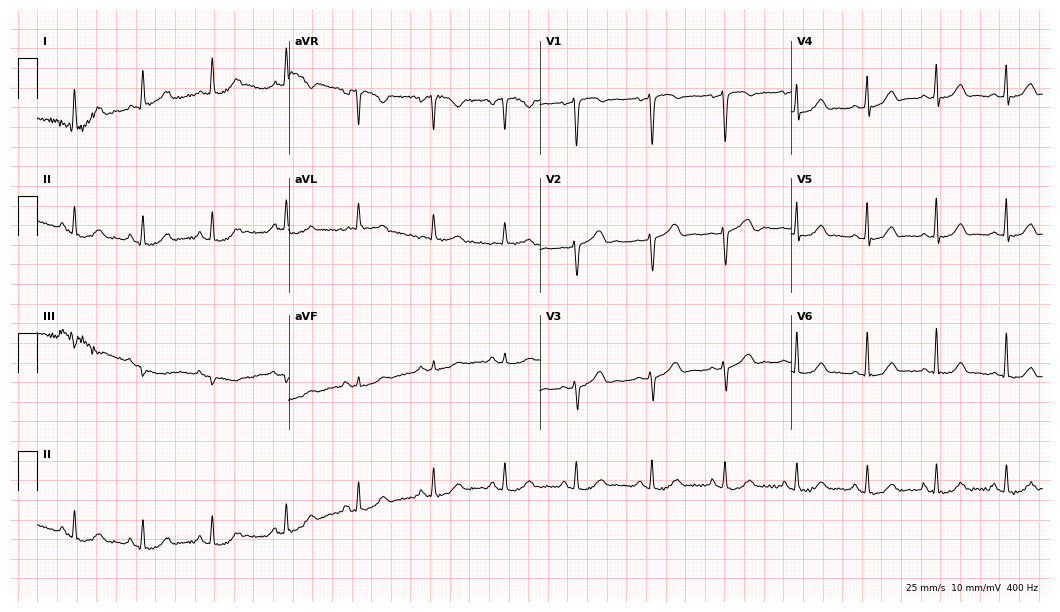
Resting 12-lead electrocardiogram (10.2-second recording at 400 Hz). Patient: a 48-year-old female. None of these six findings is recorded: first-degree AV block, right bundle branch block, left bundle branch block, sinus bradycardia, atrial fibrillation, sinus tachycardia.